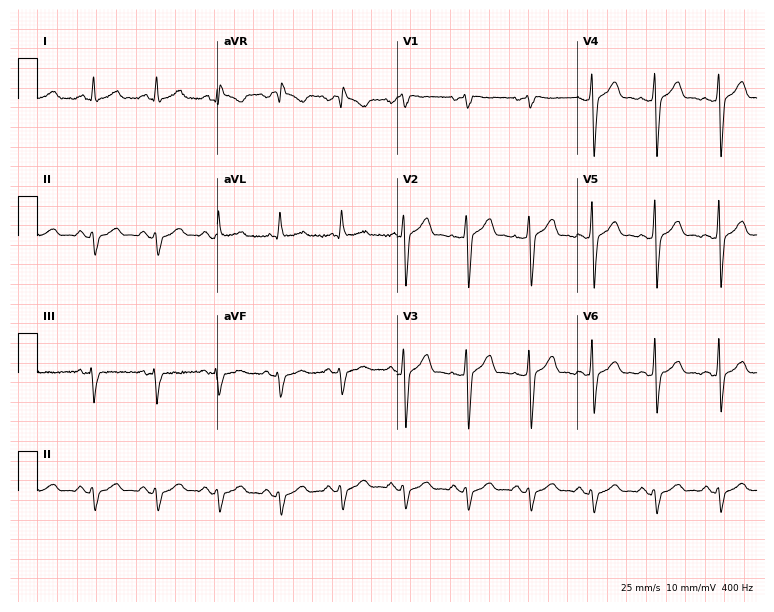
Resting 12-lead electrocardiogram (7.3-second recording at 400 Hz). Patient: a male, 52 years old. None of these six findings is recorded: first-degree AV block, right bundle branch block (RBBB), left bundle branch block (LBBB), sinus bradycardia, atrial fibrillation (AF), sinus tachycardia.